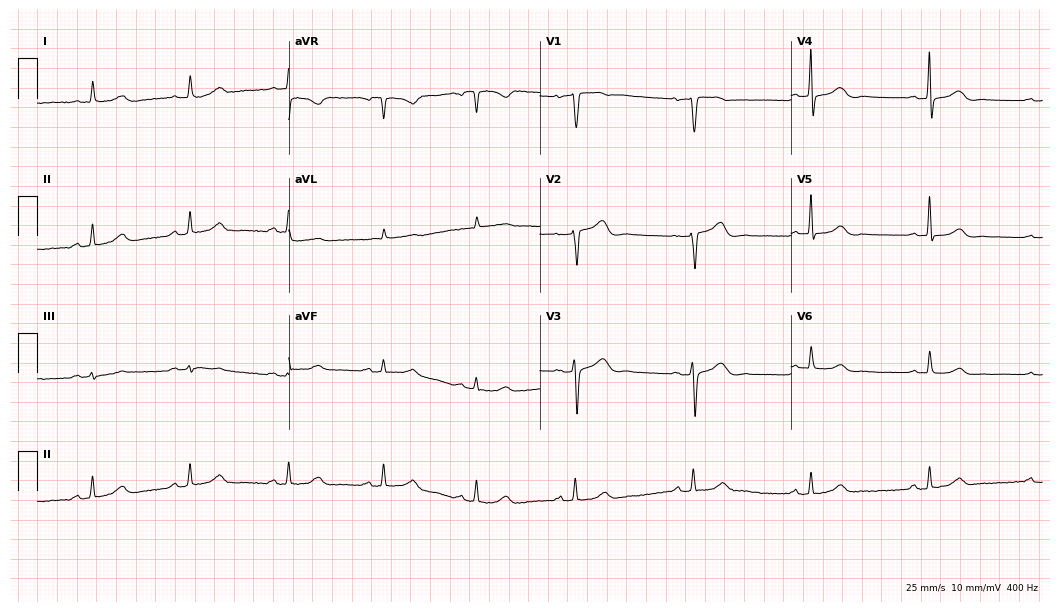
Resting 12-lead electrocardiogram (10.2-second recording at 400 Hz). Patient: a female, 73 years old. None of these six findings is recorded: first-degree AV block, right bundle branch block (RBBB), left bundle branch block (LBBB), sinus bradycardia, atrial fibrillation (AF), sinus tachycardia.